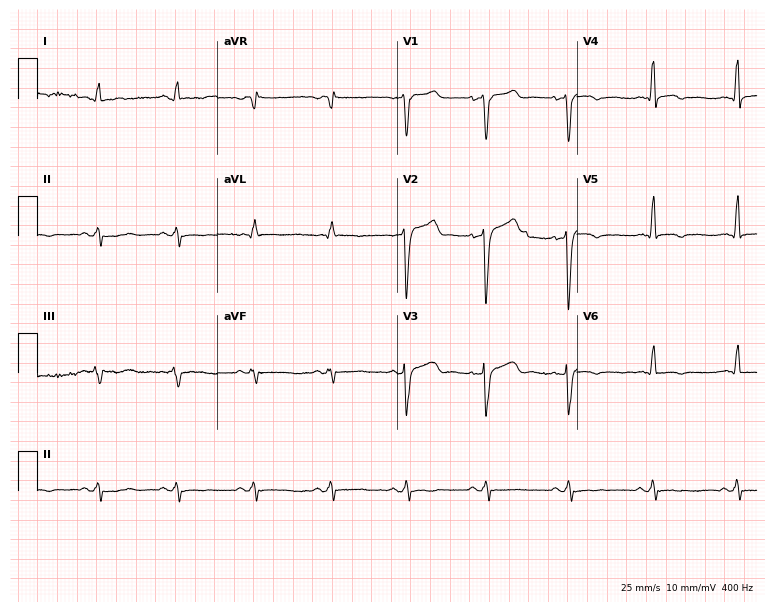
Resting 12-lead electrocardiogram. Patient: a 68-year-old man. None of these six findings is recorded: first-degree AV block, right bundle branch block, left bundle branch block, sinus bradycardia, atrial fibrillation, sinus tachycardia. Other findings, if any, are not listed.